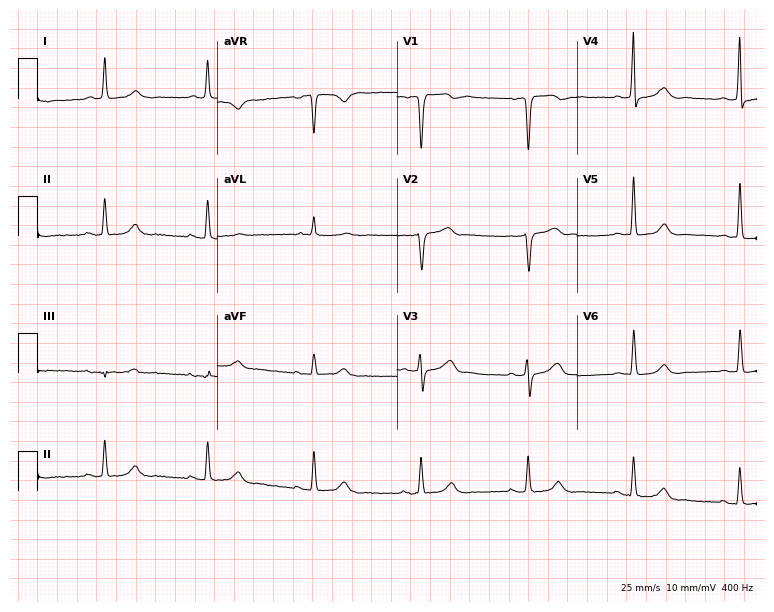
12-lead ECG from a 75-year-old male (7.3-second recording at 400 Hz). No first-degree AV block, right bundle branch block, left bundle branch block, sinus bradycardia, atrial fibrillation or sinus tachycardia recorded for this tracing.